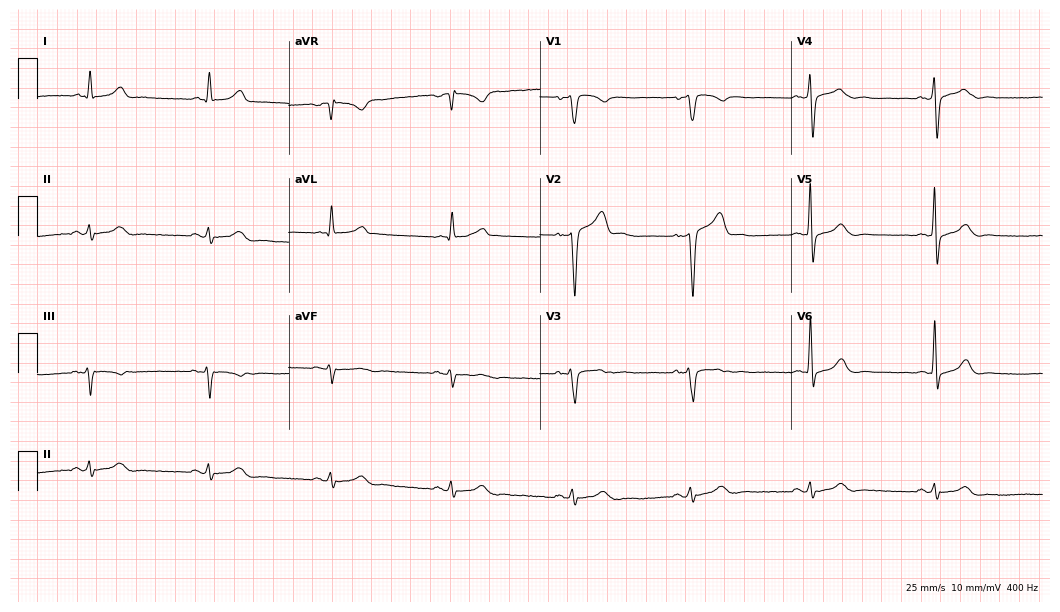
Electrocardiogram, a 68-year-old male patient. Of the six screened findings (first-degree AV block, right bundle branch block (RBBB), left bundle branch block (LBBB), sinus bradycardia, atrial fibrillation (AF), sinus tachycardia), none is recorded.